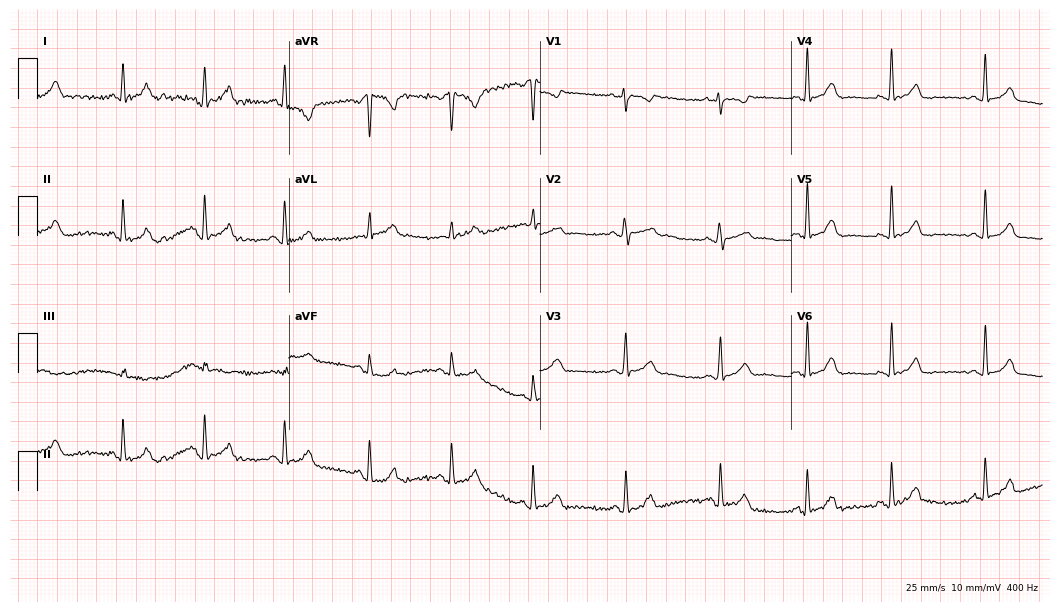
ECG — a 28-year-old female. Labelled as a normal ECG.